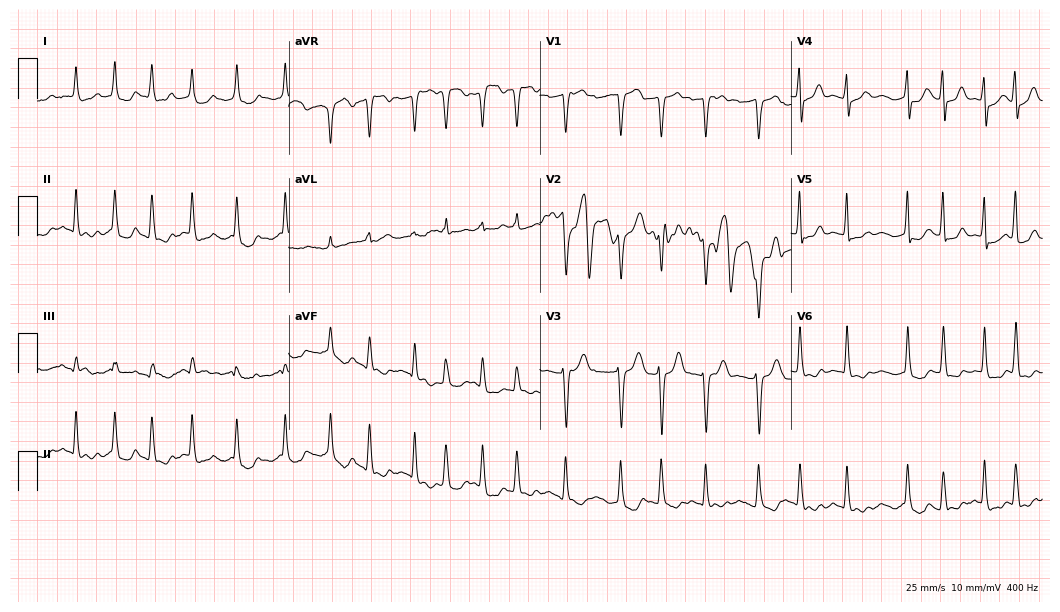
Standard 12-lead ECG recorded from a 62-year-old woman (10.2-second recording at 400 Hz). The tracing shows atrial fibrillation.